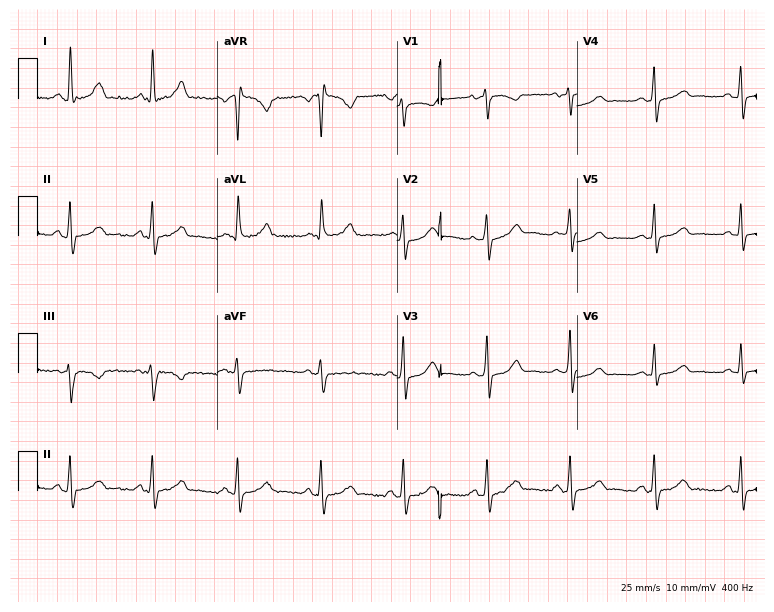
Electrocardiogram, a female patient, 35 years old. Of the six screened findings (first-degree AV block, right bundle branch block, left bundle branch block, sinus bradycardia, atrial fibrillation, sinus tachycardia), none is recorded.